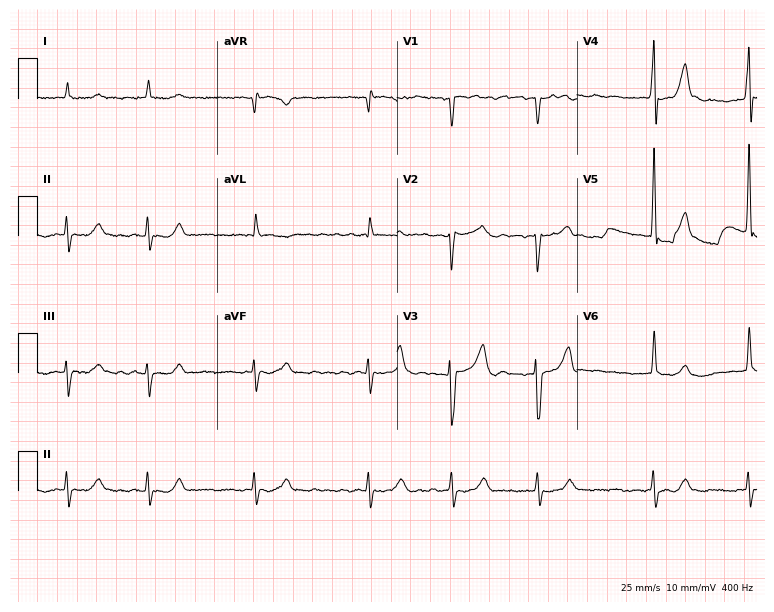
12-lead ECG from an 82-year-old male patient (7.3-second recording at 400 Hz). Shows atrial fibrillation.